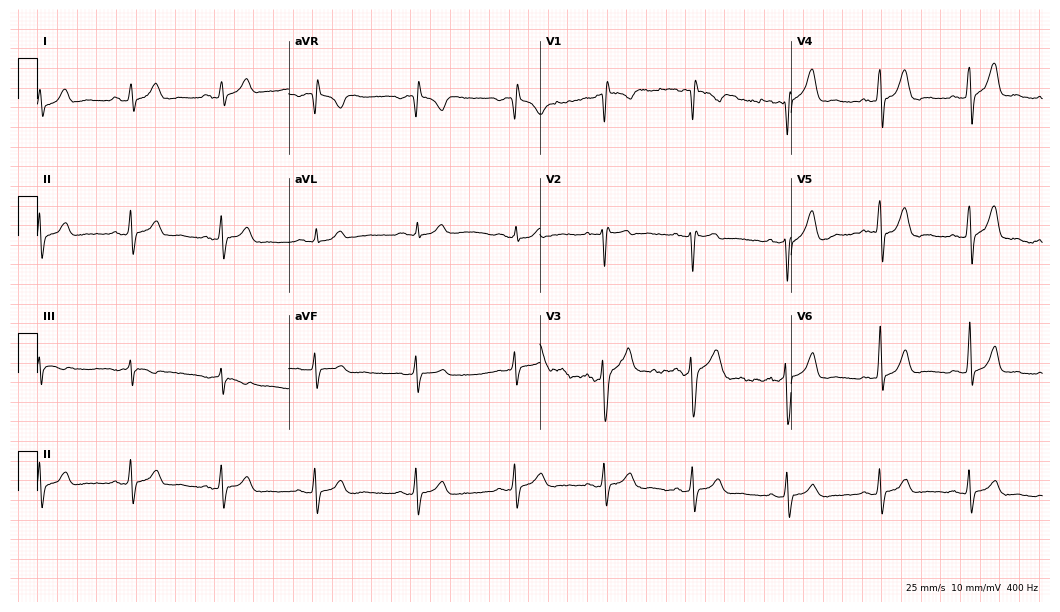
Electrocardiogram (10.2-second recording at 400 Hz), a male patient, 24 years old. Of the six screened findings (first-degree AV block, right bundle branch block, left bundle branch block, sinus bradycardia, atrial fibrillation, sinus tachycardia), none is recorded. Findings outside these six are not listed.